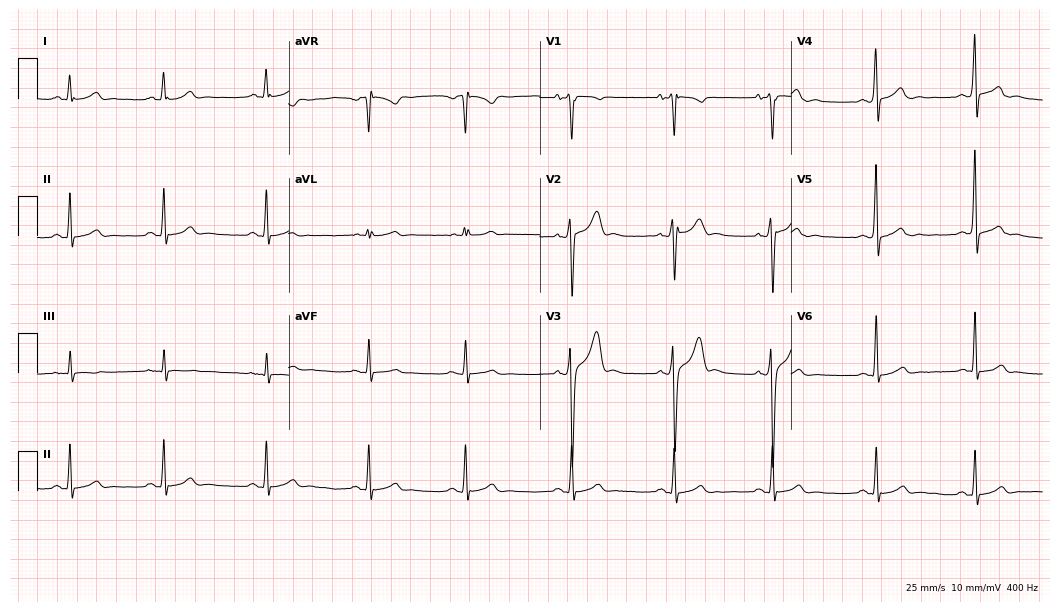
ECG (10.2-second recording at 400 Hz) — a man, 17 years old. Labelled as a normal ECG.